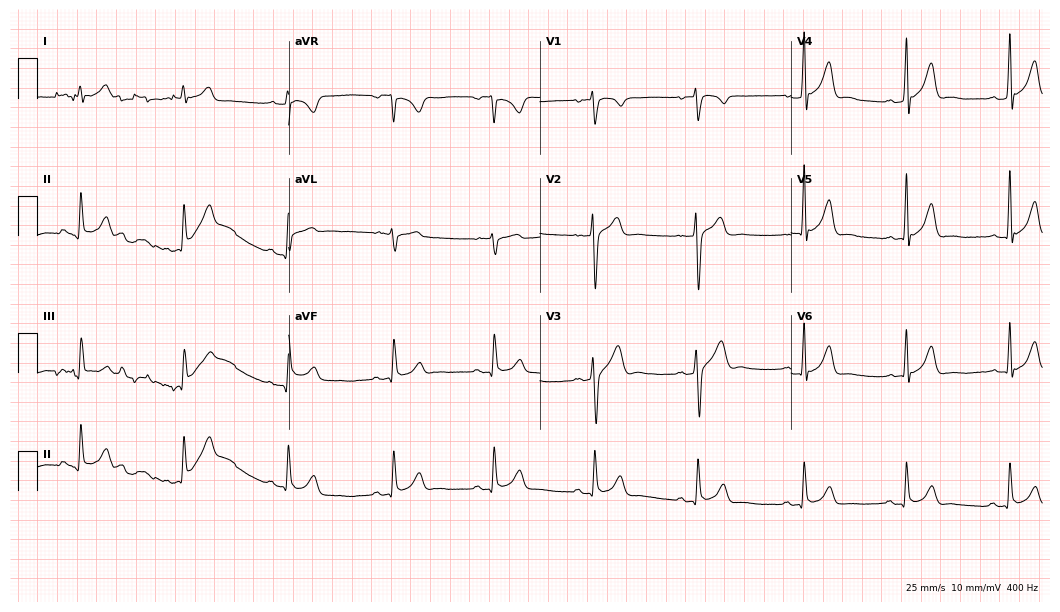
ECG — a 43-year-old male patient. Labelled as a normal ECG.